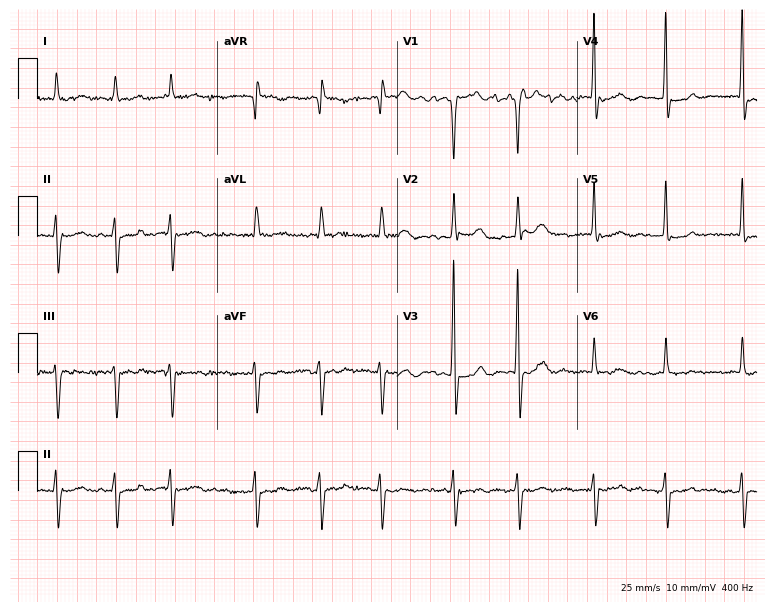
12-lead ECG (7.3-second recording at 400 Hz) from an 84-year-old male. Screened for six findings — first-degree AV block, right bundle branch block (RBBB), left bundle branch block (LBBB), sinus bradycardia, atrial fibrillation (AF), sinus tachycardia — none is recorded. Only these six findings were labelled.